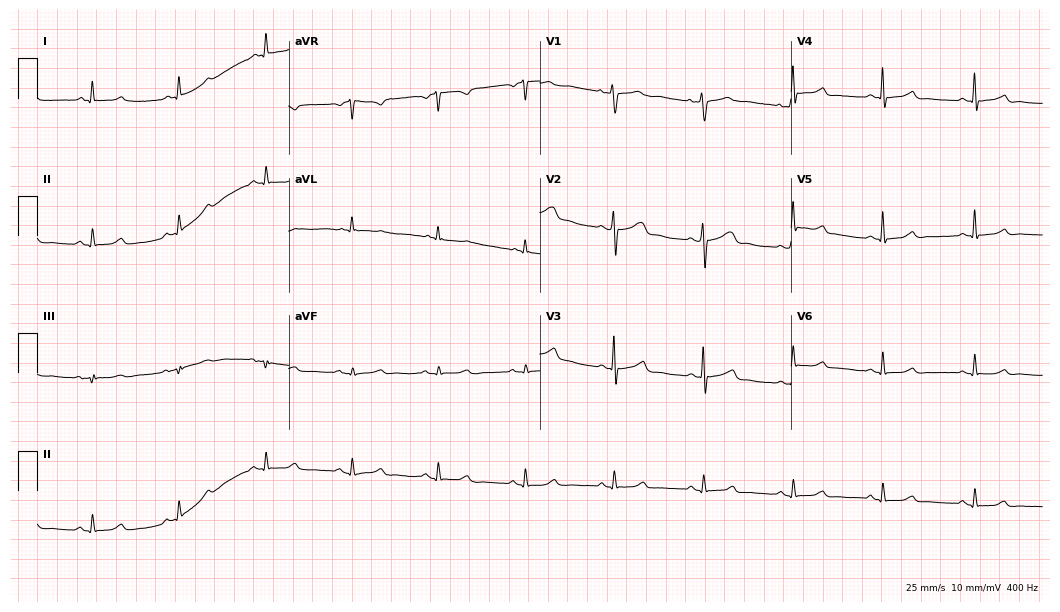
ECG — a female patient, 54 years old. Labelled as a normal ECG.